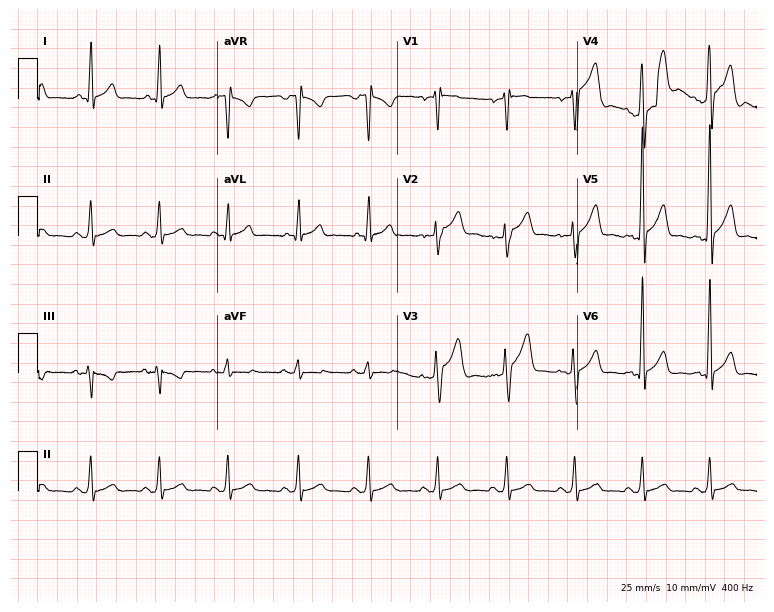
Resting 12-lead electrocardiogram. Patient: a male, 28 years old. Read as a normal ECG.